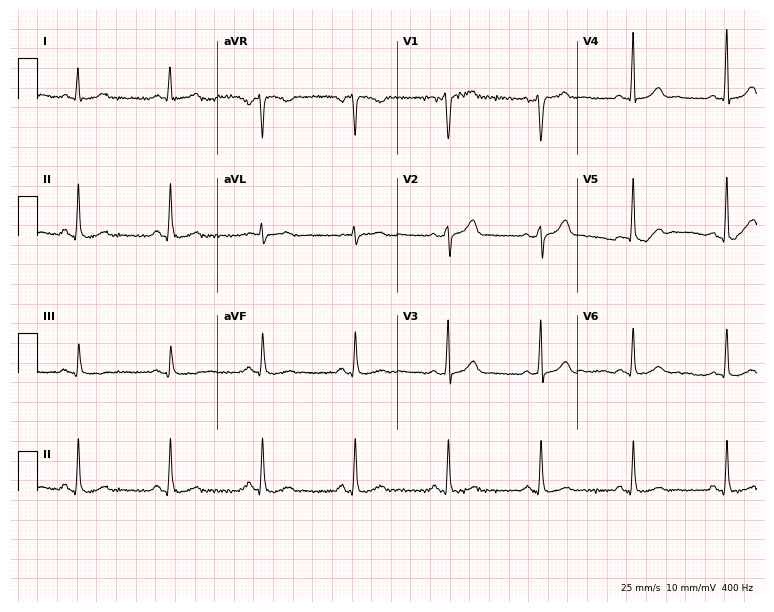
12-lead ECG from a 65-year-old male. Screened for six findings — first-degree AV block, right bundle branch block, left bundle branch block, sinus bradycardia, atrial fibrillation, sinus tachycardia — none is recorded.